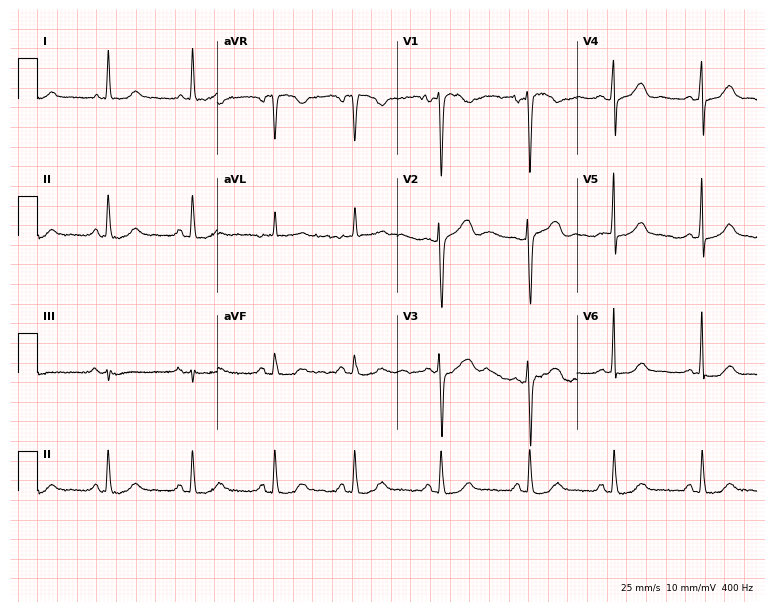
Electrocardiogram, a female, 50 years old. Overall reading on record: normal ECG.